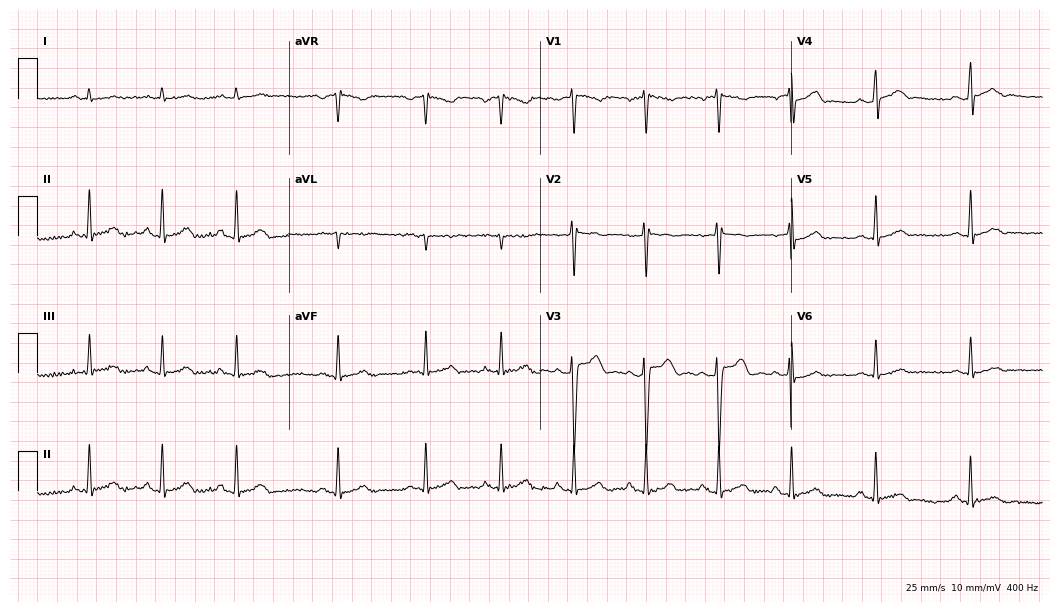
ECG — a male patient, 22 years old. Screened for six findings — first-degree AV block, right bundle branch block, left bundle branch block, sinus bradycardia, atrial fibrillation, sinus tachycardia — none is recorded.